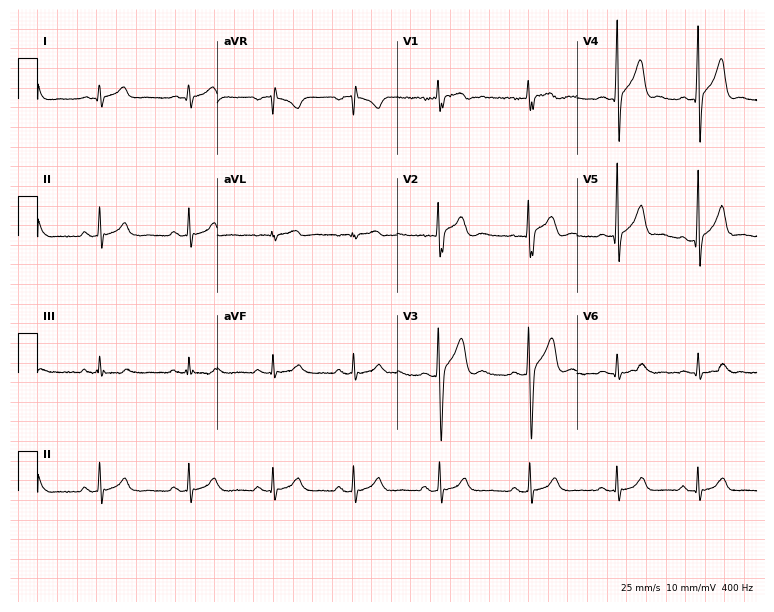
12-lead ECG (7.3-second recording at 400 Hz) from an 18-year-old man. Screened for six findings — first-degree AV block, right bundle branch block, left bundle branch block, sinus bradycardia, atrial fibrillation, sinus tachycardia — none is recorded. Other findings, if any, are not listed.